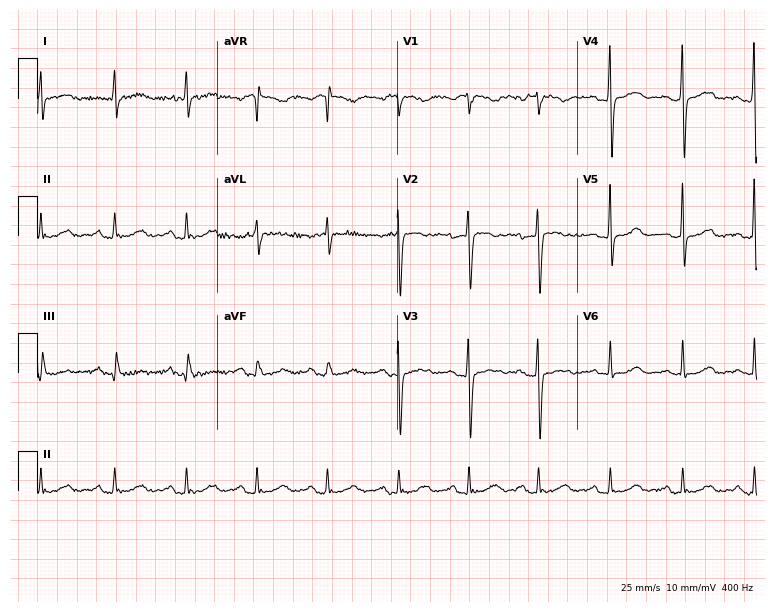
Standard 12-lead ECG recorded from a woman, 42 years old. The tracing shows first-degree AV block.